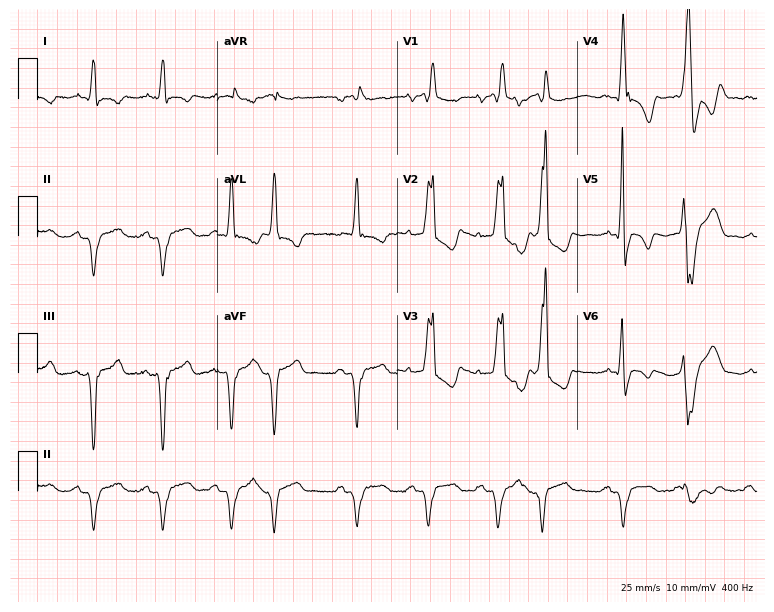
12-lead ECG from a male, 55 years old. Shows right bundle branch block (RBBB).